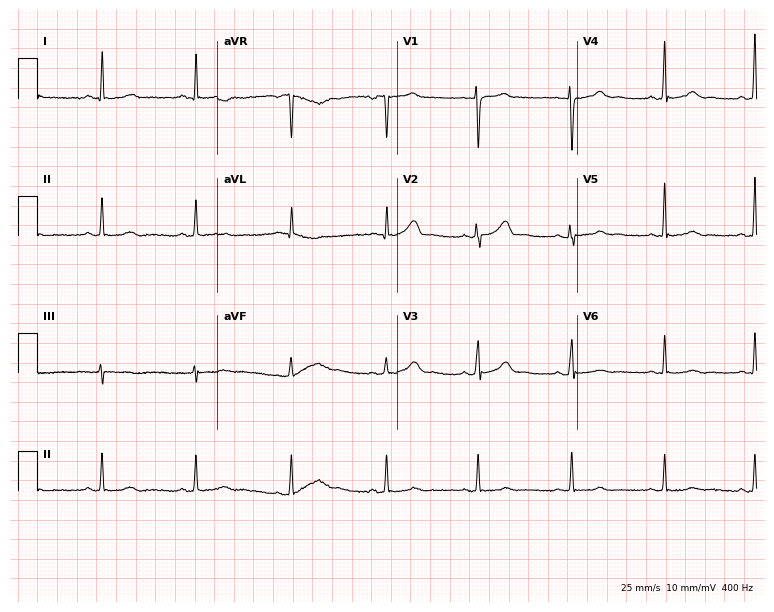
Electrocardiogram (7.3-second recording at 400 Hz), a woman, 47 years old. Of the six screened findings (first-degree AV block, right bundle branch block, left bundle branch block, sinus bradycardia, atrial fibrillation, sinus tachycardia), none is recorded.